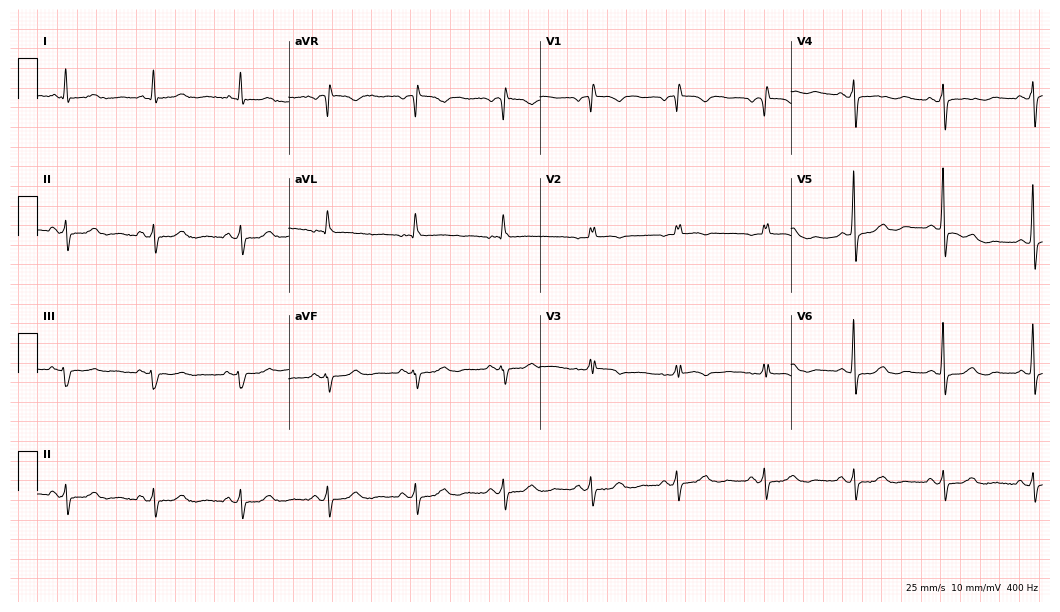
Standard 12-lead ECG recorded from a 77-year-old female patient (10.2-second recording at 400 Hz). None of these six findings is recorded: first-degree AV block, right bundle branch block, left bundle branch block, sinus bradycardia, atrial fibrillation, sinus tachycardia. Other findings, if any, are not listed.